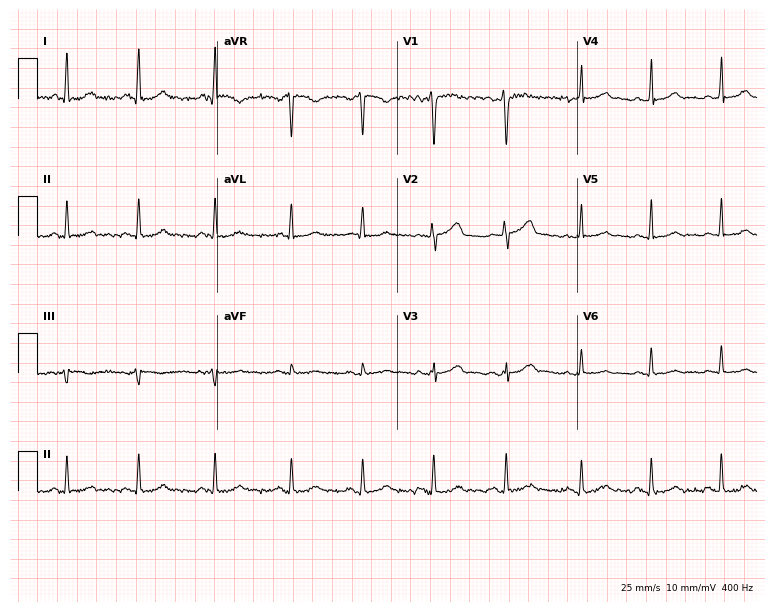
12-lead ECG from a 47-year-old female. Recorded interpretation: within normal limits.